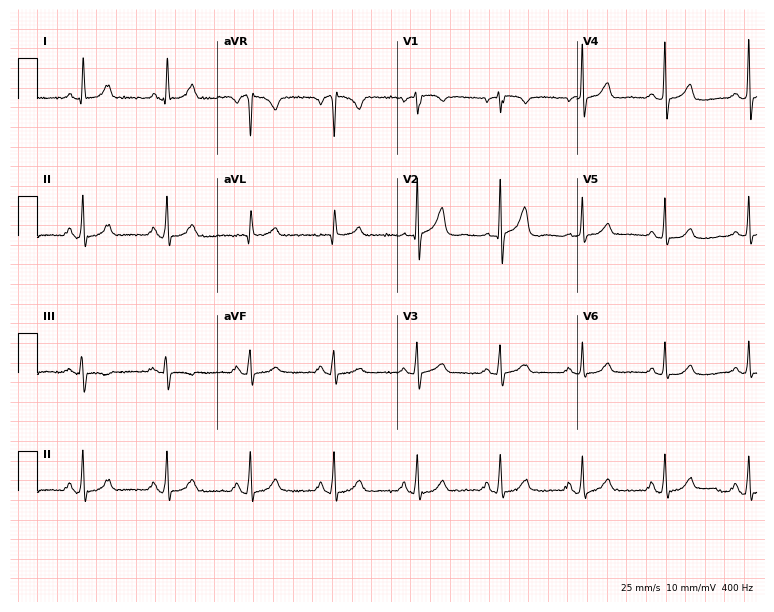
Standard 12-lead ECG recorded from a 77-year-old woman. None of these six findings is recorded: first-degree AV block, right bundle branch block (RBBB), left bundle branch block (LBBB), sinus bradycardia, atrial fibrillation (AF), sinus tachycardia.